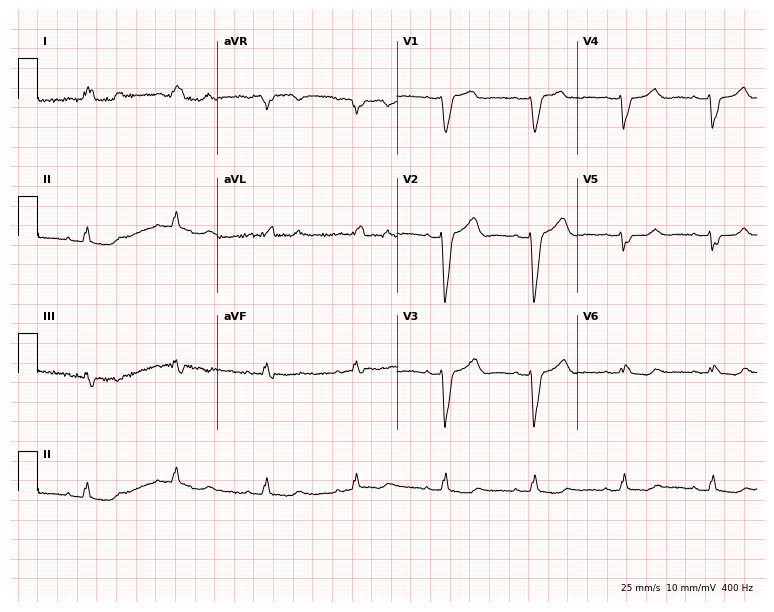
12-lead ECG (7.3-second recording at 400 Hz) from a 74-year-old female patient. Findings include left bundle branch block (LBBB).